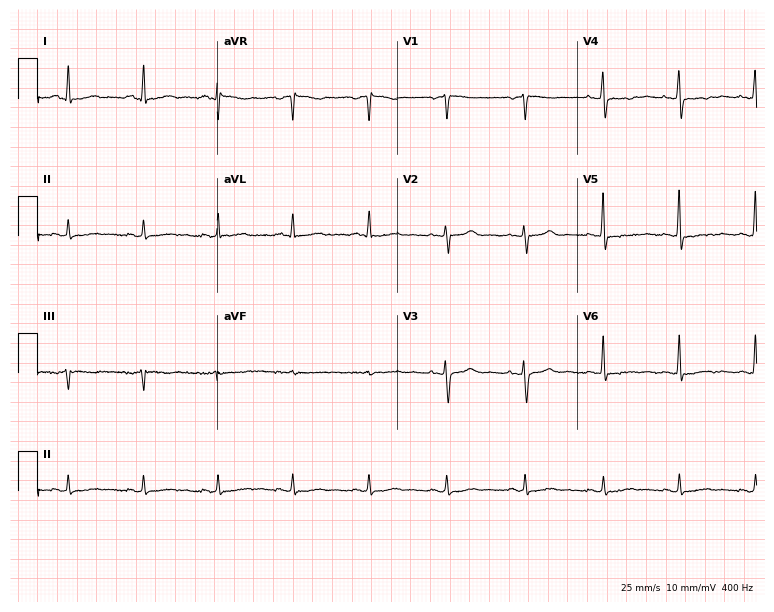
12-lead ECG from a woman, 60 years old. No first-degree AV block, right bundle branch block, left bundle branch block, sinus bradycardia, atrial fibrillation or sinus tachycardia recorded for this tracing. Only these six findings were labelled.